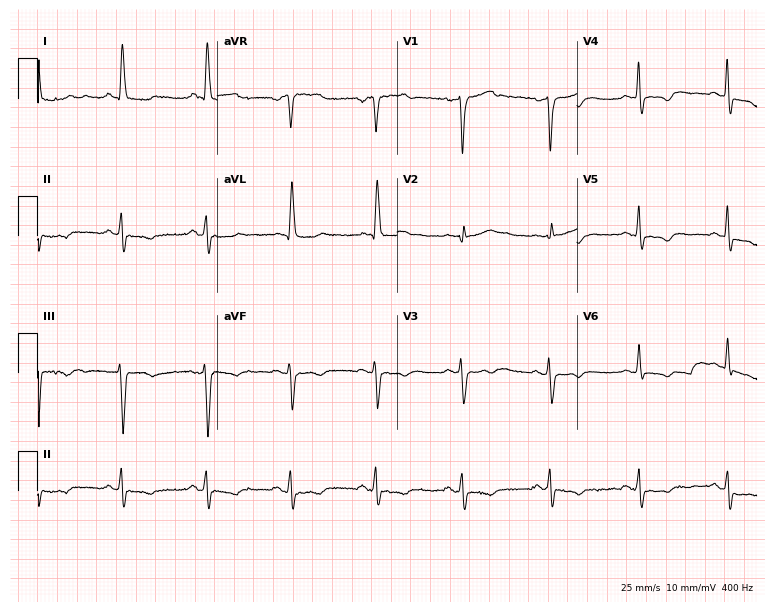
12-lead ECG from a female, 60 years old (7.3-second recording at 400 Hz). No first-degree AV block, right bundle branch block (RBBB), left bundle branch block (LBBB), sinus bradycardia, atrial fibrillation (AF) or sinus tachycardia recorded for this tracing. Only these six findings were labelled.